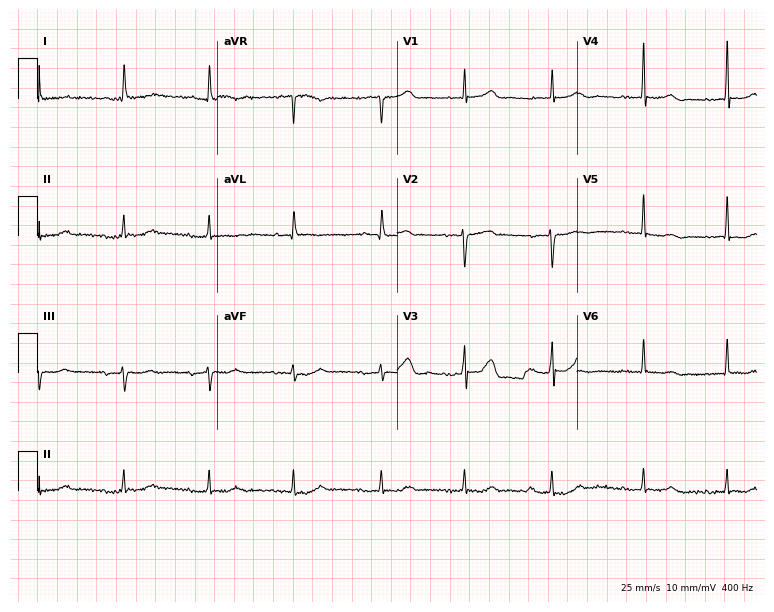
12-lead ECG from an 80-year-old woman. No first-degree AV block, right bundle branch block (RBBB), left bundle branch block (LBBB), sinus bradycardia, atrial fibrillation (AF) or sinus tachycardia recorded for this tracing.